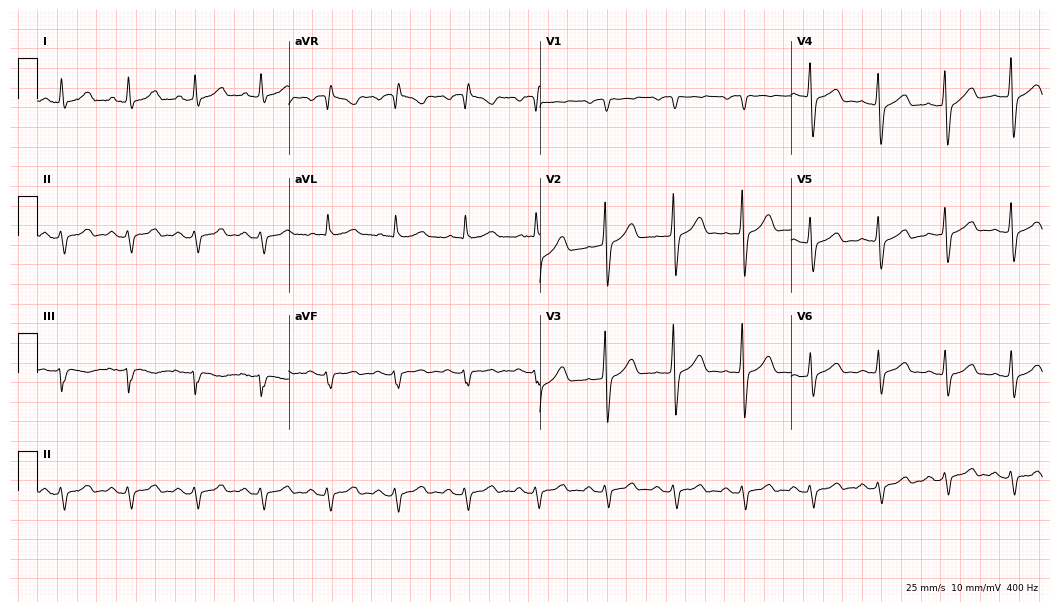
ECG (10.2-second recording at 400 Hz) — a man, 40 years old. Labelled as a normal ECG.